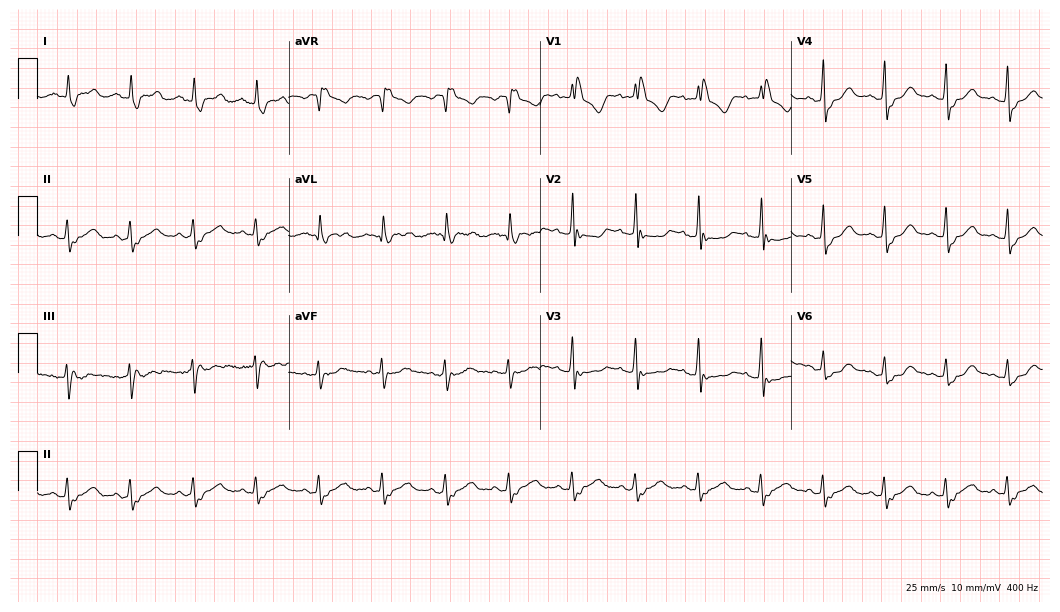
Resting 12-lead electrocardiogram (10.2-second recording at 400 Hz). Patient: a 49-year-old female. None of these six findings is recorded: first-degree AV block, right bundle branch block (RBBB), left bundle branch block (LBBB), sinus bradycardia, atrial fibrillation (AF), sinus tachycardia.